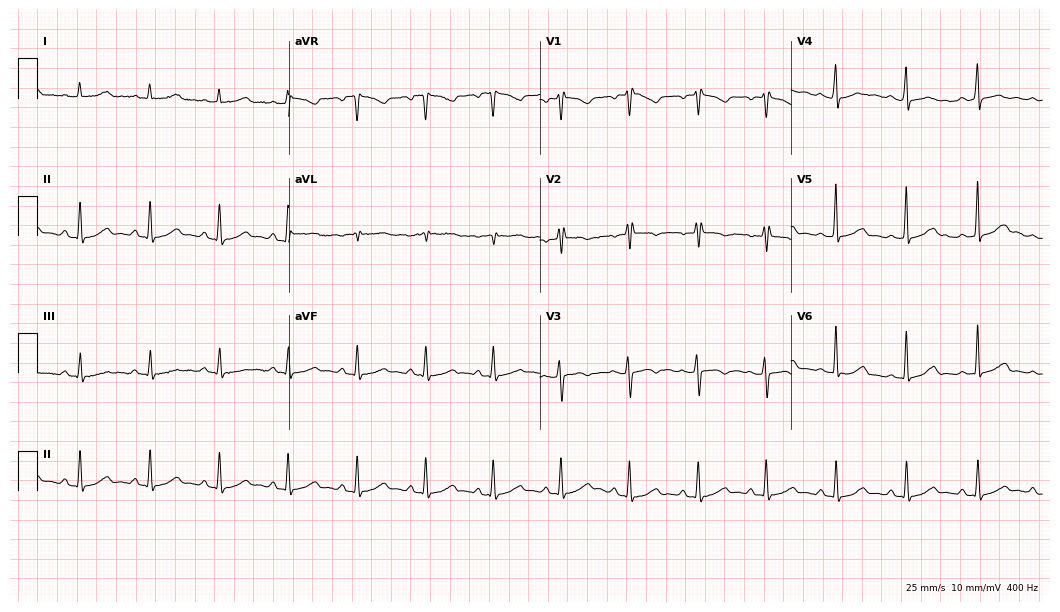
ECG (10.2-second recording at 400 Hz) — a female, 39 years old. Screened for six findings — first-degree AV block, right bundle branch block, left bundle branch block, sinus bradycardia, atrial fibrillation, sinus tachycardia — none is recorded. Only these six findings were labelled.